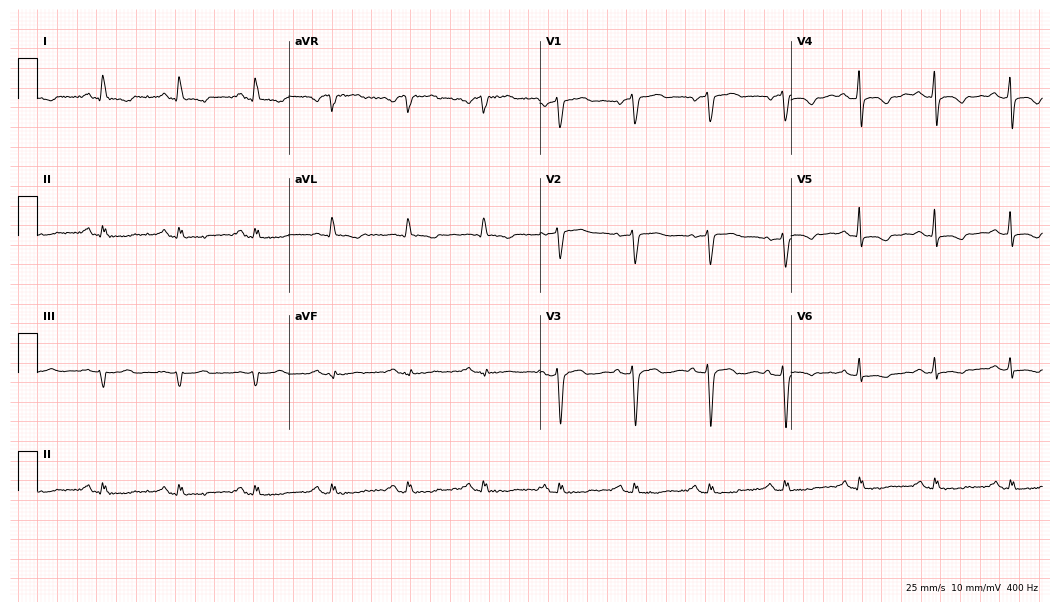
ECG (10.2-second recording at 400 Hz) — a 74-year-old female patient. Screened for six findings — first-degree AV block, right bundle branch block, left bundle branch block, sinus bradycardia, atrial fibrillation, sinus tachycardia — none is recorded. Only these six findings were labelled.